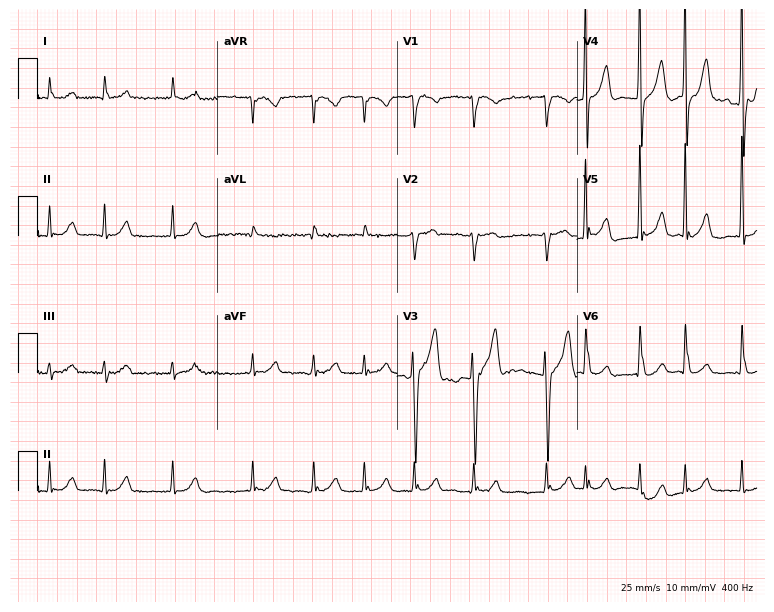
12-lead ECG from a 71-year-old male (7.3-second recording at 400 Hz). Shows atrial fibrillation (AF).